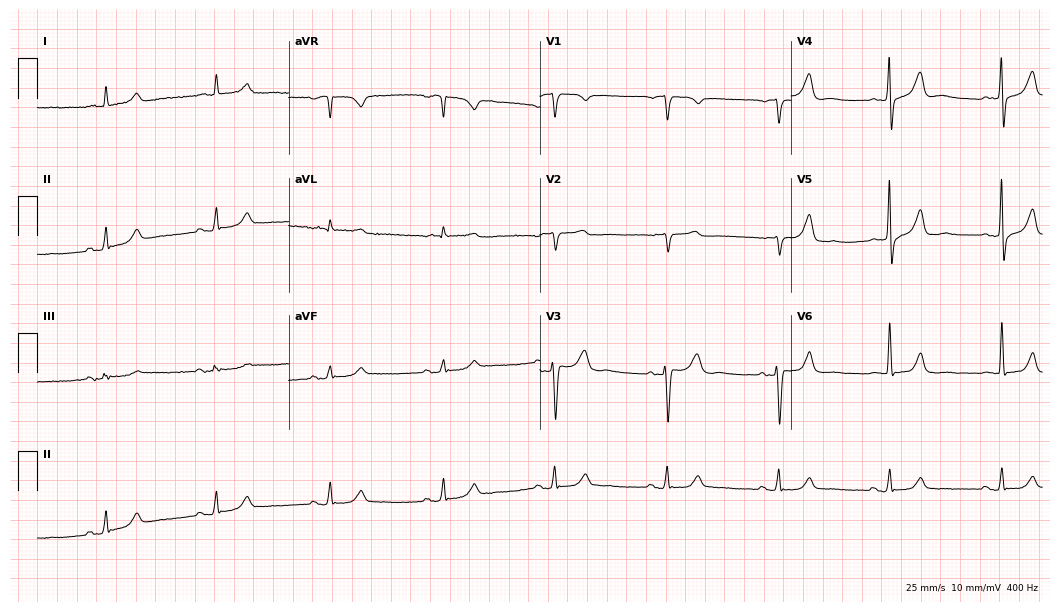
12-lead ECG from a male, 65 years old. Labelled as a normal ECG.